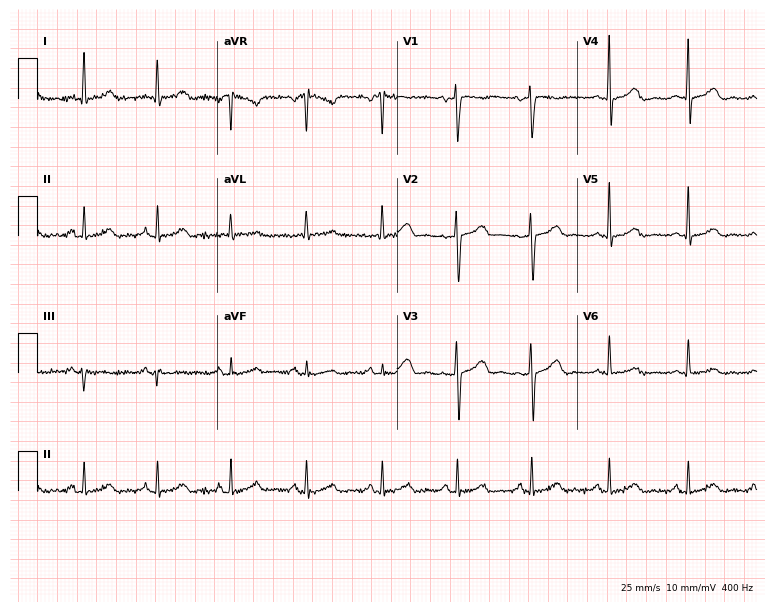
ECG — a female patient, 59 years old. Labelled as a normal ECG.